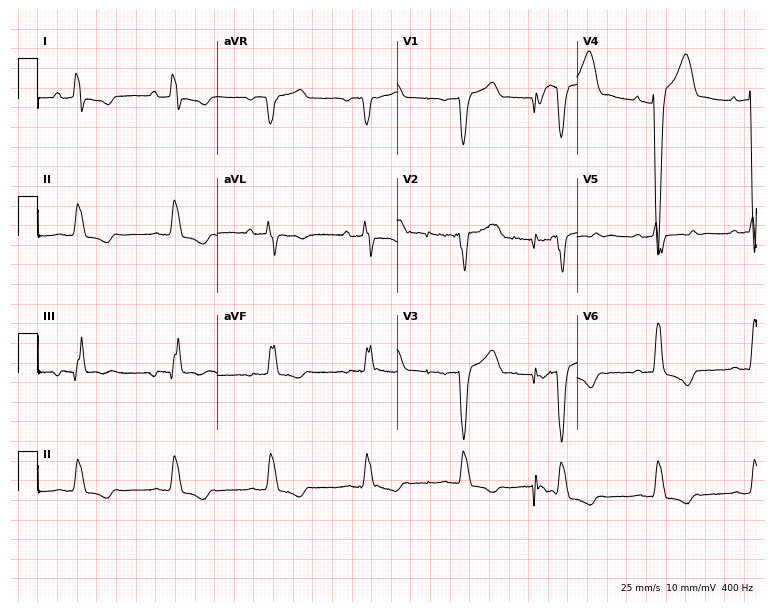
12-lead ECG from an 82-year-old male (7.3-second recording at 400 Hz). Shows left bundle branch block.